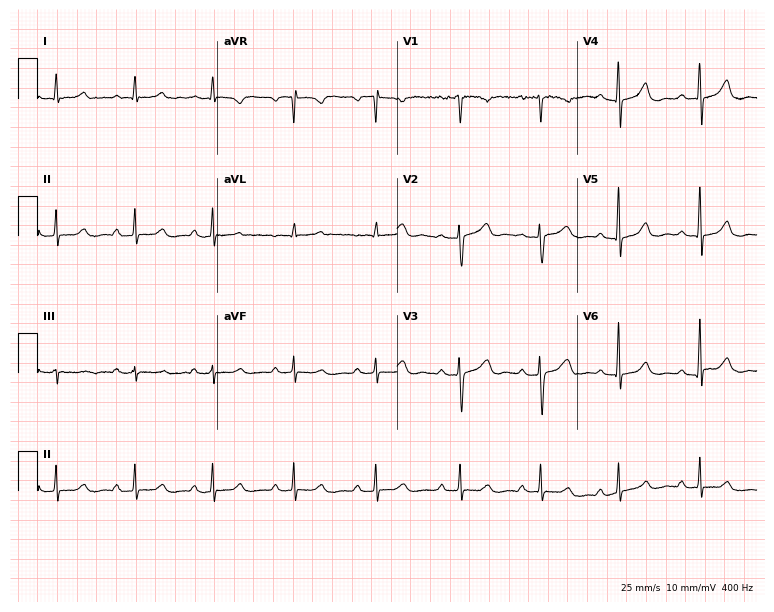
Resting 12-lead electrocardiogram. Patient: a female, 52 years old. Read as a normal ECG.